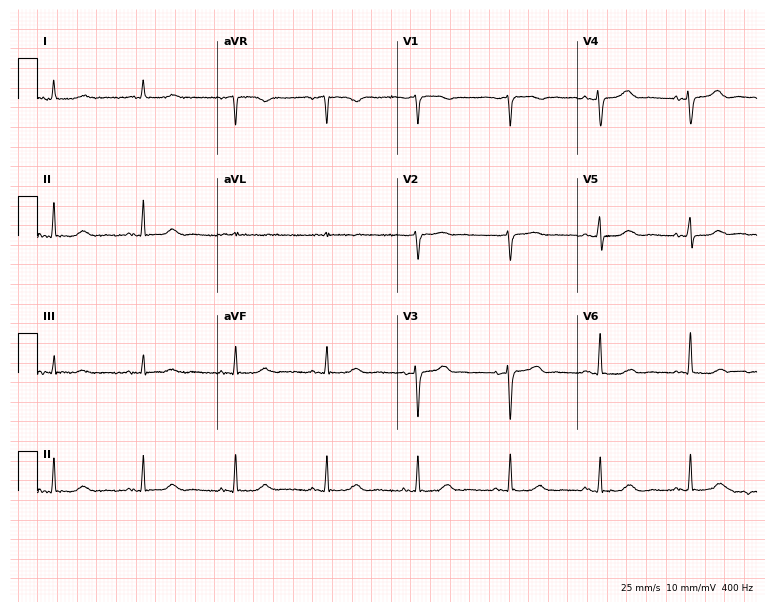
ECG — a female, 66 years old. Screened for six findings — first-degree AV block, right bundle branch block (RBBB), left bundle branch block (LBBB), sinus bradycardia, atrial fibrillation (AF), sinus tachycardia — none is recorded.